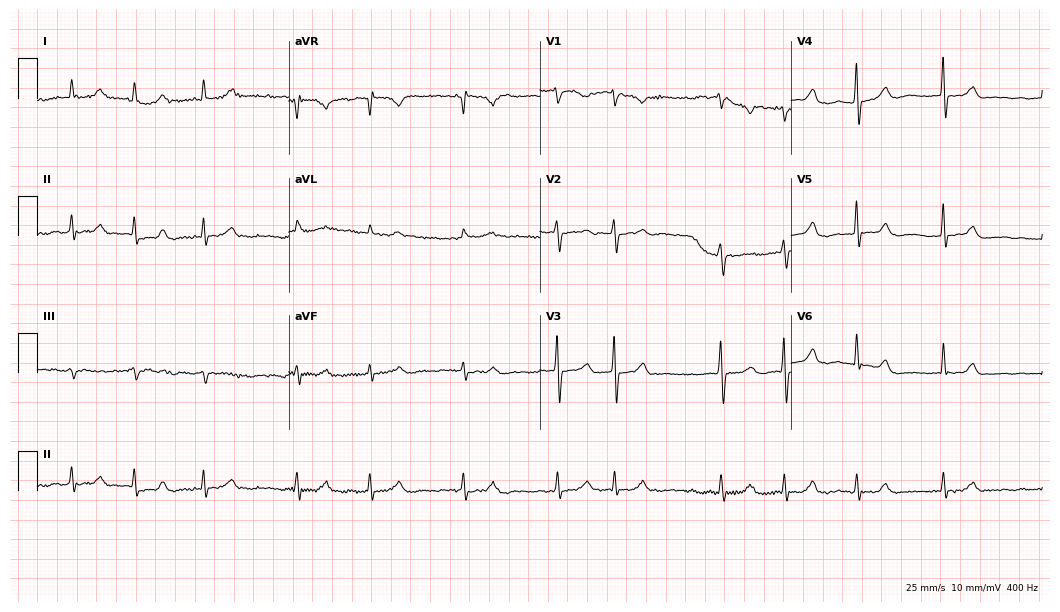
Resting 12-lead electrocardiogram (10.2-second recording at 400 Hz). Patient: a female, 65 years old. The tracing shows atrial fibrillation.